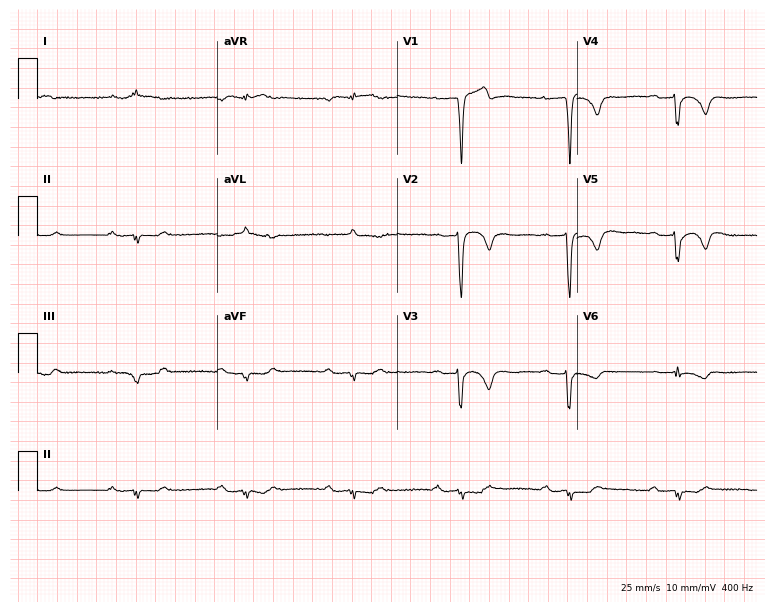
Standard 12-lead ECG recorded from a 78-year-old man (7.3-second recording at 400 Hz). The tracing shows first-degree AV block.